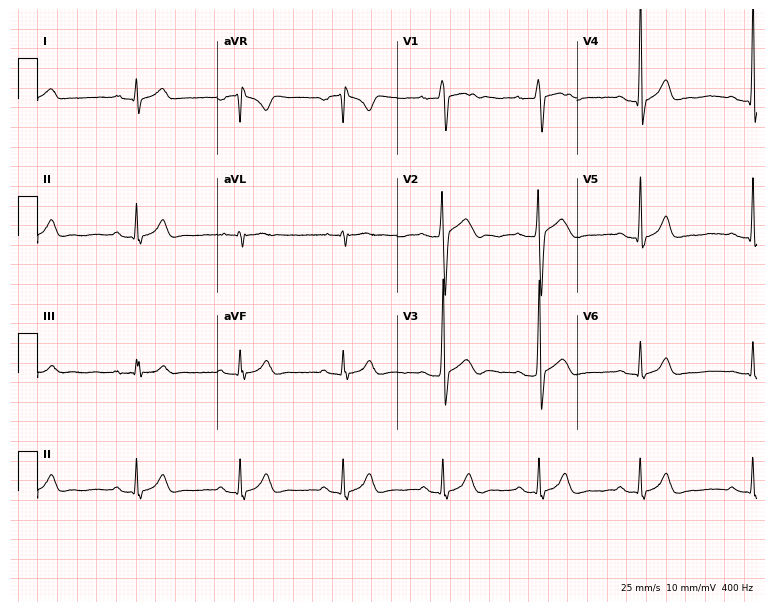
12-lead ECG from a 22-year-old male. Recorded interpretation: within normal limits.